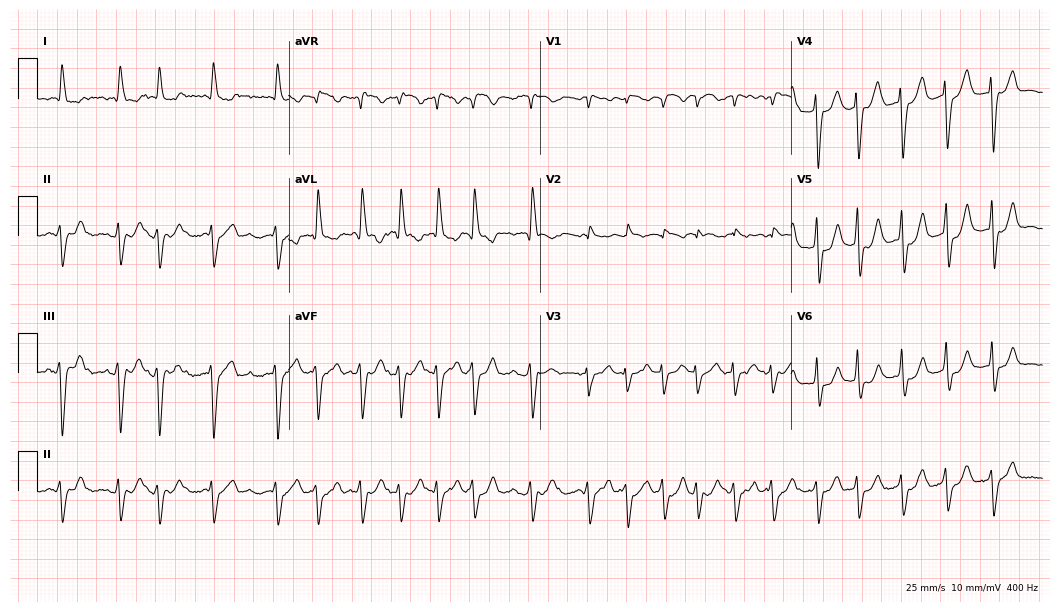
Standard 12-lead ECG recorded from a female, 81 years old. The tracing shows atrial fibrillation.